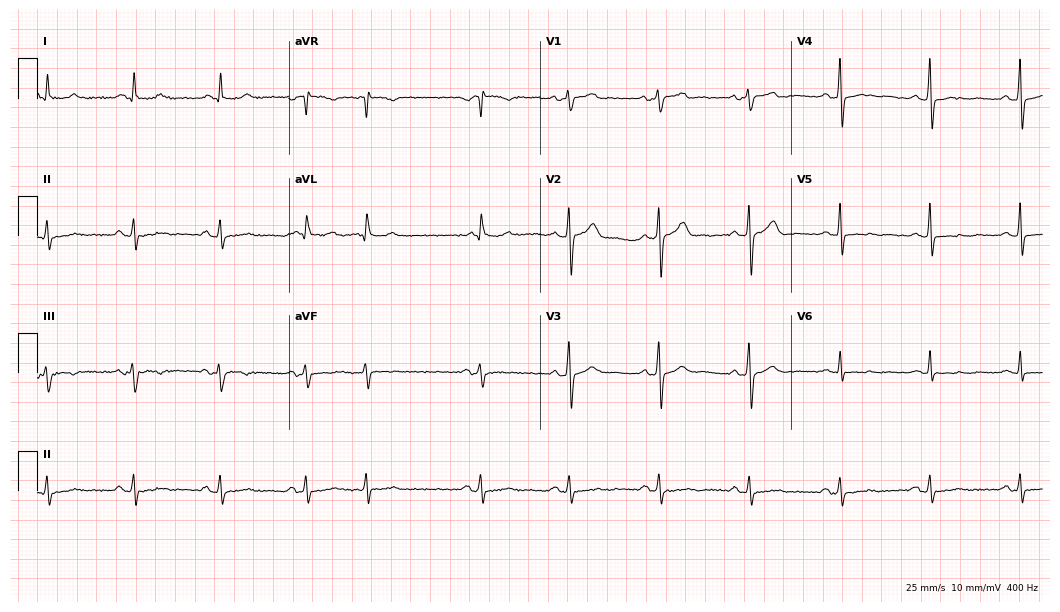
Resting 12-lead electrocardiogram (10.2-second recording at 400 Hz). Patient: a male, 51 years old. None of these six findings is recorded: first-degree AV block, right bundle branch block, left bundle branch block, sinus bradycardia, atrial fibrillation, sinus tachycardia. Other findings, if any, are not listed.